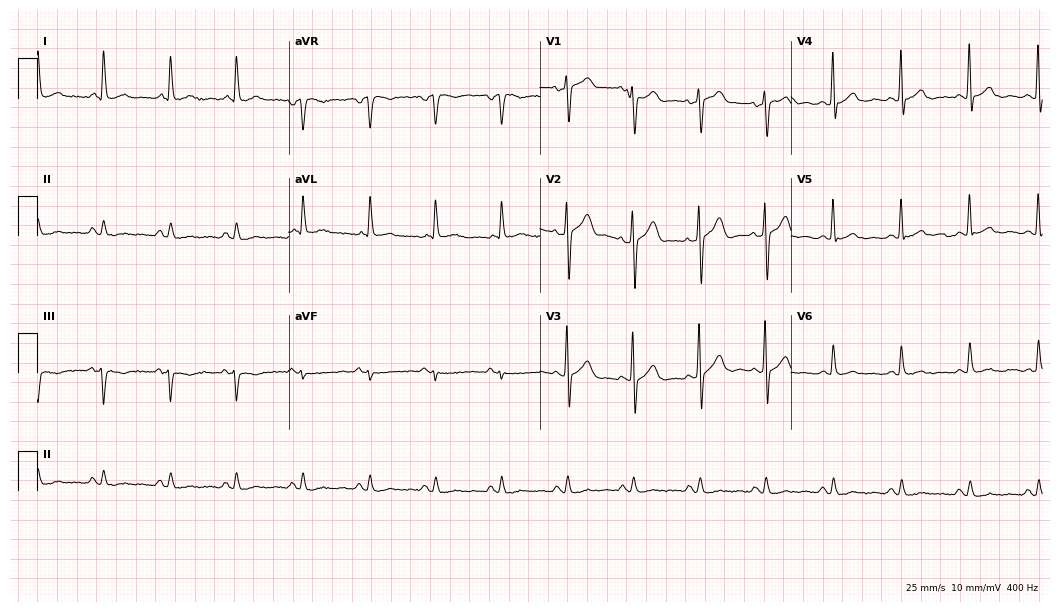
ECG (10.2-second recording at 400 Hz) — a 74-year-old man. Labelled as a normal ECG.